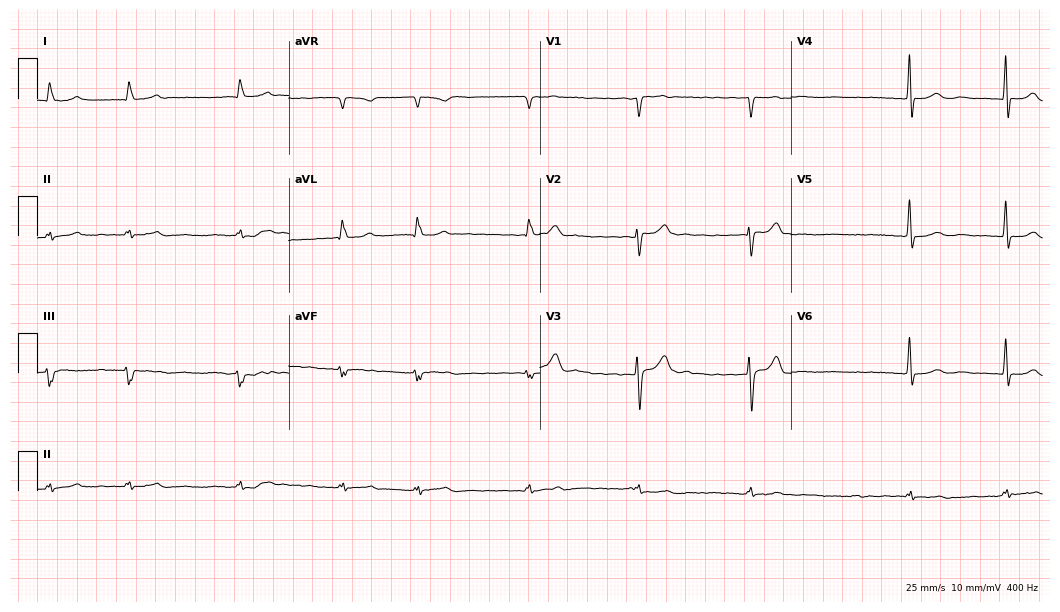
Resting 12-lead electrocardiogram (10.2-second recording at 400 Hz). Patient: a male, 79 years old. The tracing shows atrial fibrillation (AF).